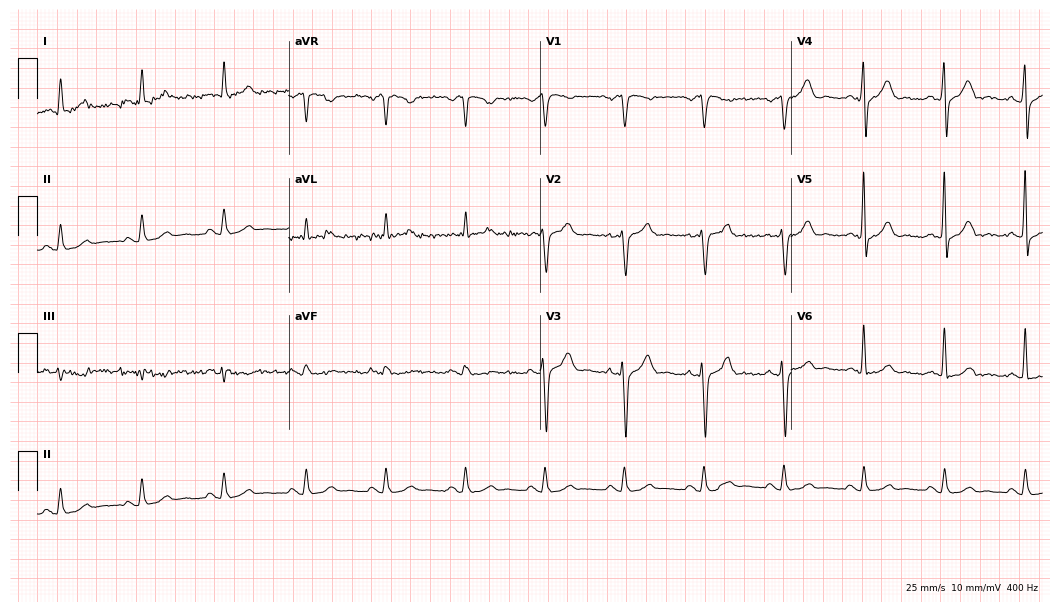
Standard 12-lead ECG recorded from a male patient, 55 years old (10.2-second recording at 400 Hz). Read as a normal ECG.